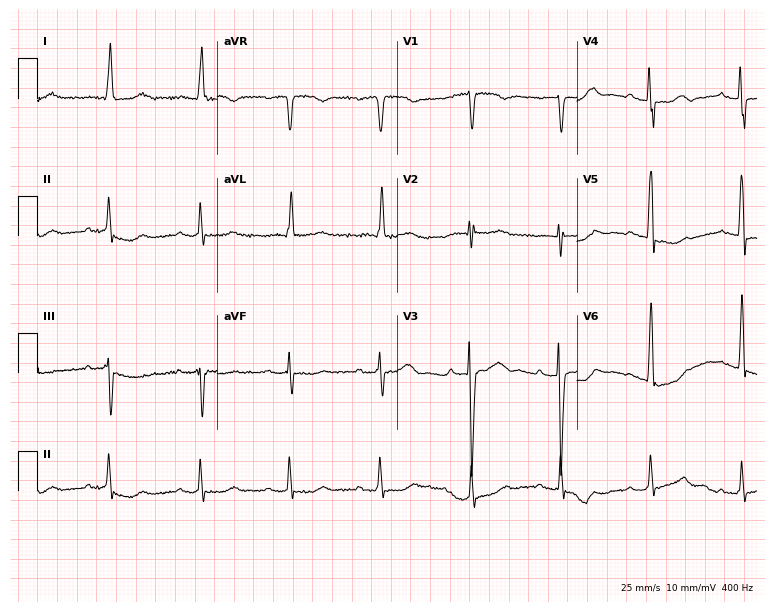
Electrocardiogram (7.3-second recording at 400 Hz), a 76-year-old female patient. Of the six screened findings (first-degree AV block, right bundle branch block, left bundle branch block, sinus bradycardia, atrial fibrillation, sinus tachycardia), none is recorded. Only these six findings were labelled.